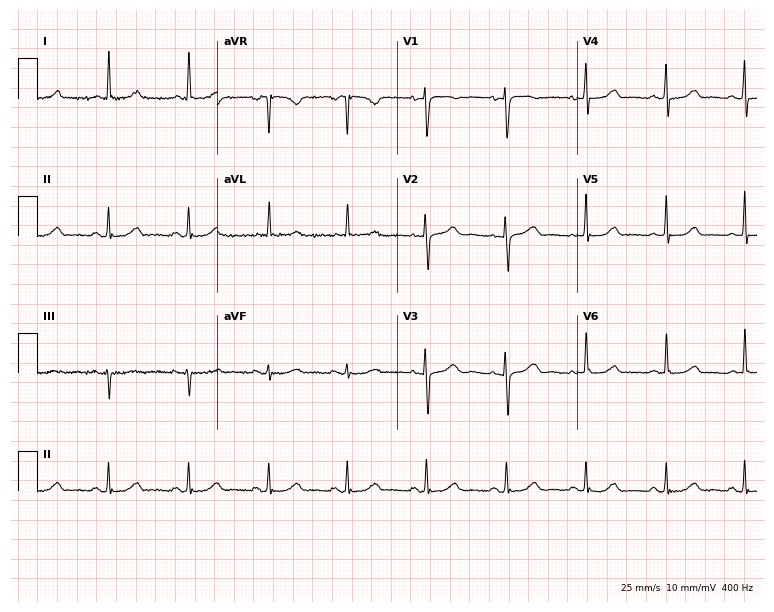
Resting 12-lead electrocardiogram. Patient: a 56-year-old female. None of these six findings is recorded: first-degree AV block, right bundle branch block (RBBB), left bundle branch block (LBBB), sinus bradycardia, atrial fibrillation (AF), sinus tachycardia. Only these six findings were labelled.